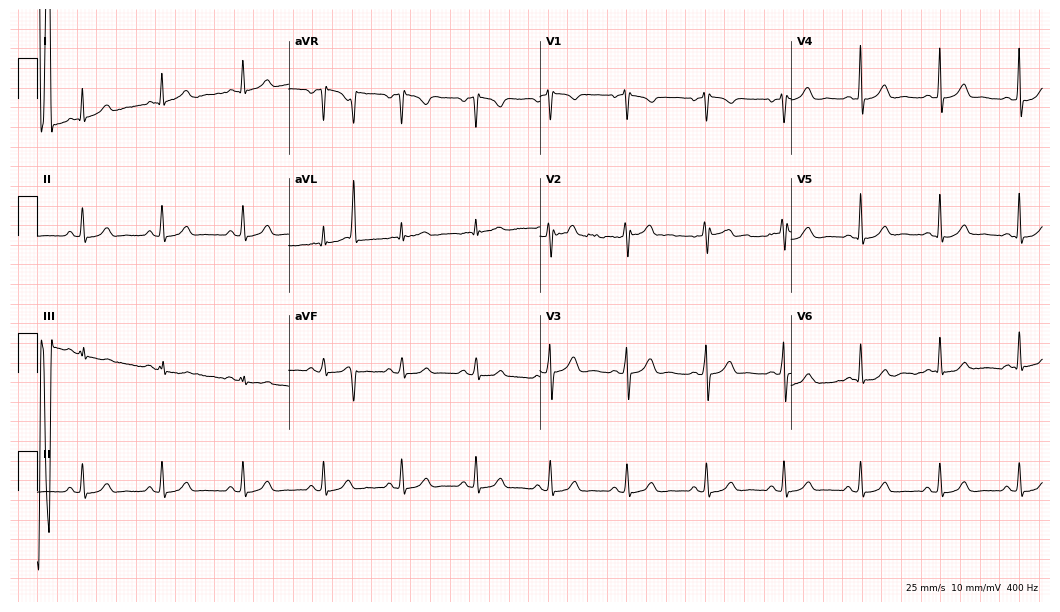
ECG (10.2-second recording at 400 Hz) — a 50-year-old man. Screened for six findings — first-degree AV block, right bundle branch block, left bundle branch block, sinus bradycardia, atrial fibrillation, sinus tachycardia — none is recorded. Other findings, if any, are not listed.